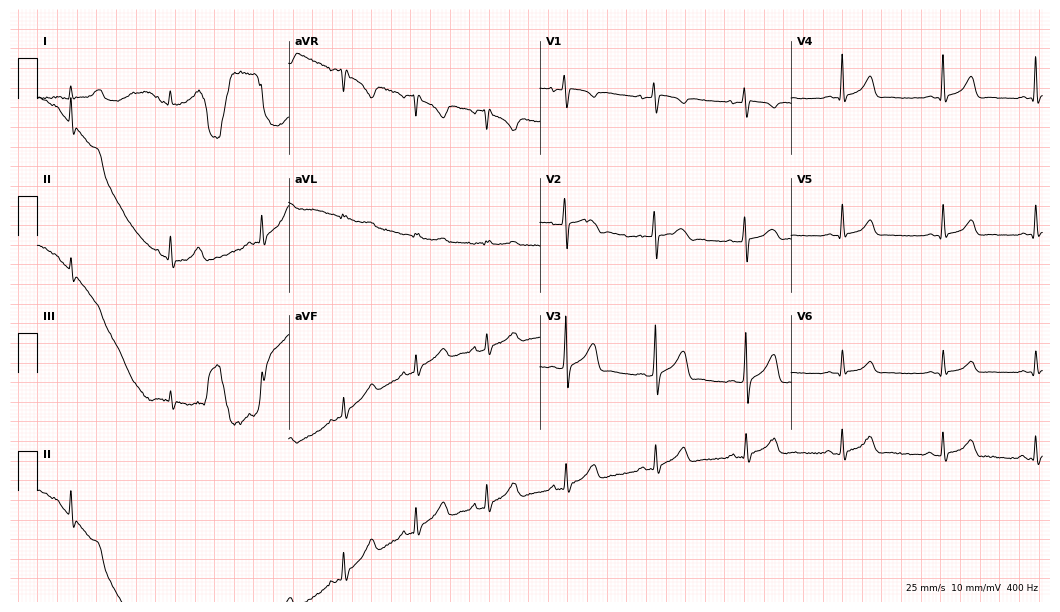
Electrocardiogram, a man, 19 years old. Of the six screened findings (first-degree AV block, right bundle branch block, left bundle branch block, sinus bradycardia, atrial fibrillation, sinus tachycardia), none is recorded.